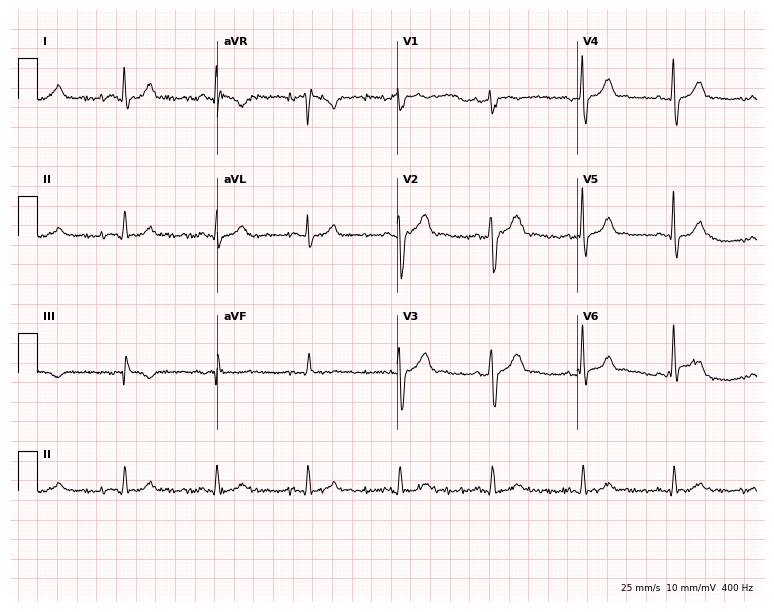
Electrocardiogram (7.3-second recording at 400 Hz), a male, 48 years old. Overall reading on record: normal ECG.